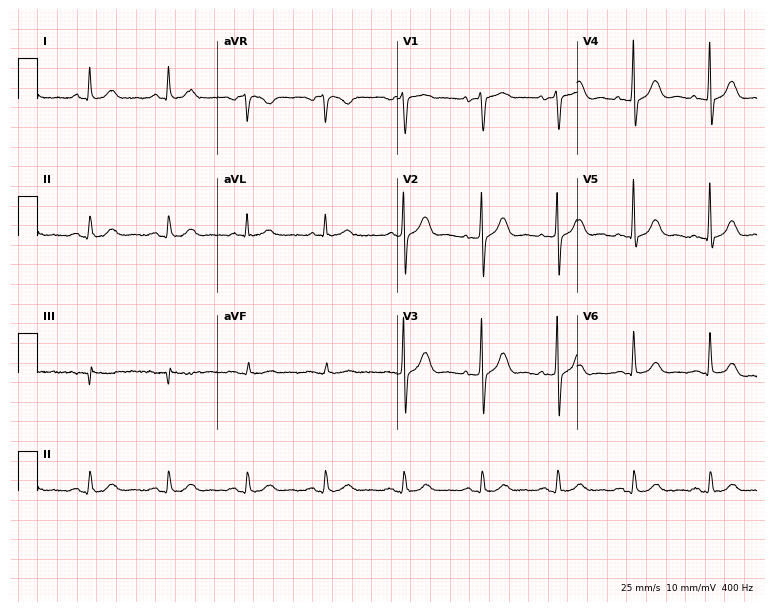
Resting 12-lead electrocardiogram (7.3-second recording at 400 Hz). Patient: a 67-year-old man. Read as a normal ECG.